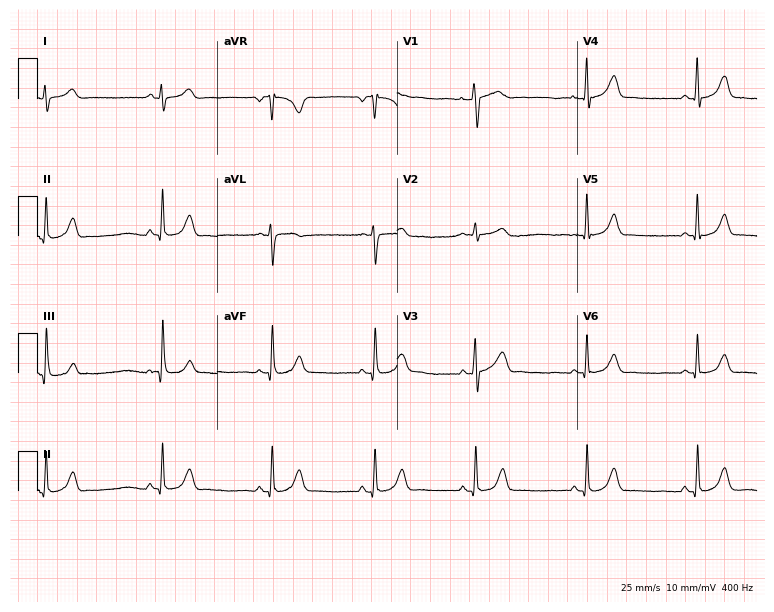
12-lead ECG (7.3-second recording at 400 Hz) from a 30-year-old female patient. Labelled as a normal ECG.